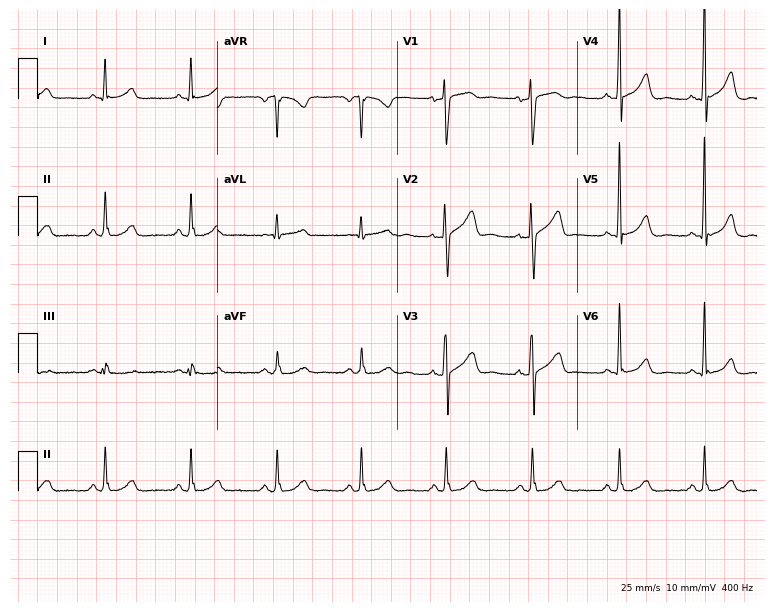
Resting 12-lead electrocardiogram. Patient: a woman, 50 years old. None of these six findings is recorded: first-degree AV block, right bundle branch block (RBBB), left bundle branch block (LBBB), sinus bradycardia, atrial fibrillation (AF), sinus tachycardia. Findings outside these six are not listed.